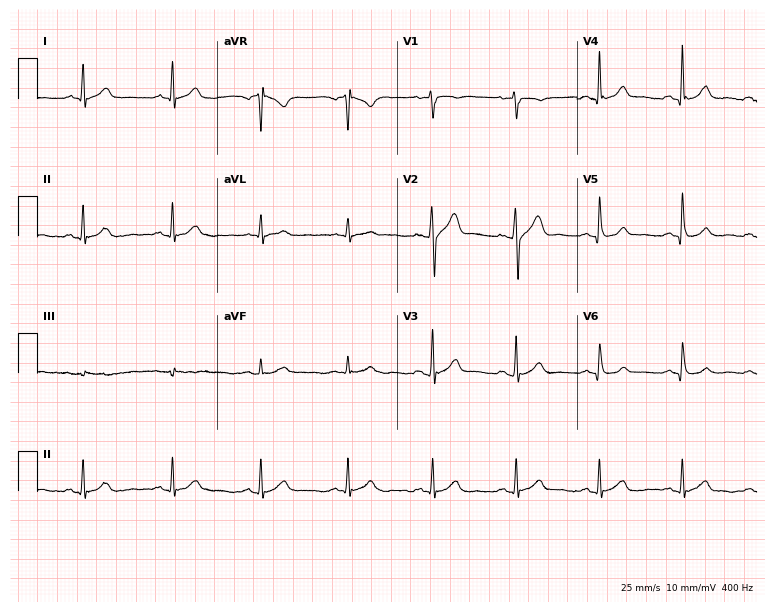
12-lead ECG (7.3-second recording at 400 Hz) from a male, 44 years old. Labelled as a normal ECG.